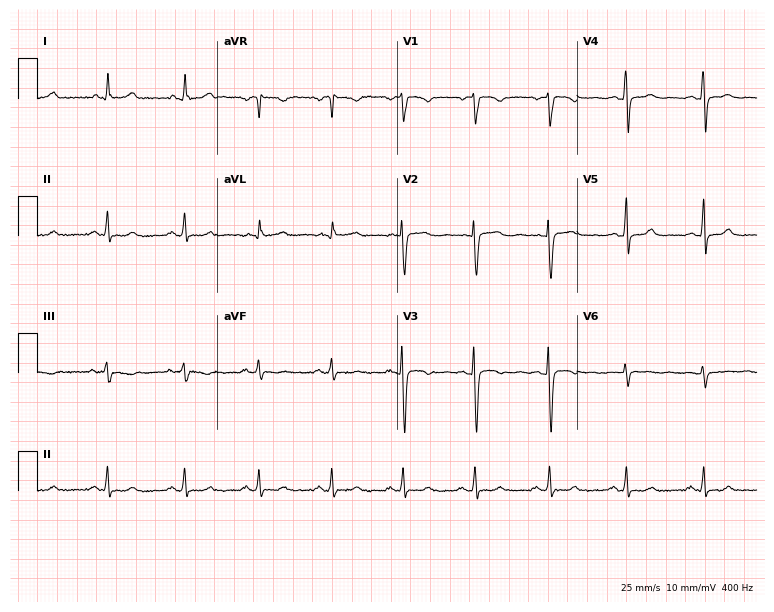
12-lead ECG (7.3-second recording at 400 Hz) from a 38-year-old female. Screened for six findings — first-degree AV block, right bundle branch block (RBBB), left bundle branch block (LBBB), sinus bradycardia, atrial fibrillation (AF), sinus tachycardia — none is recorded. Findings outside these six are not listed.